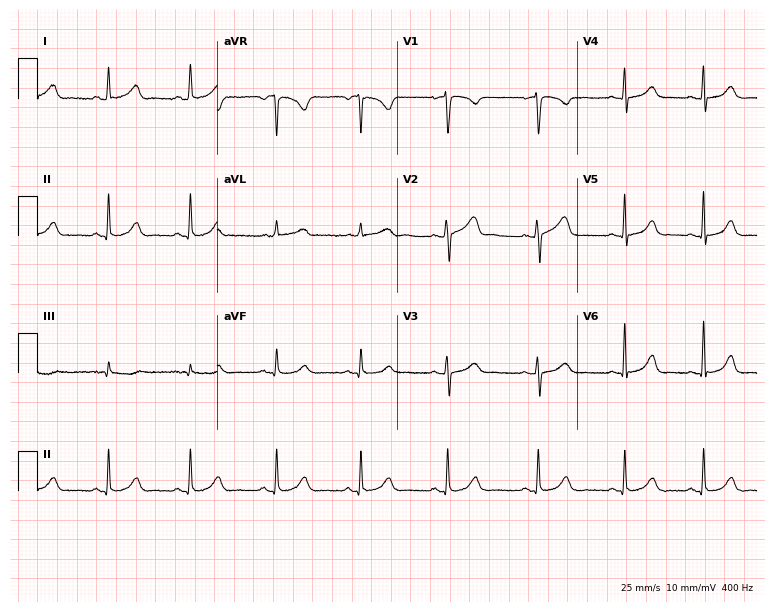
12-lead ECG from a 22-year-old woman. Recorded interpretation: within normal limits.